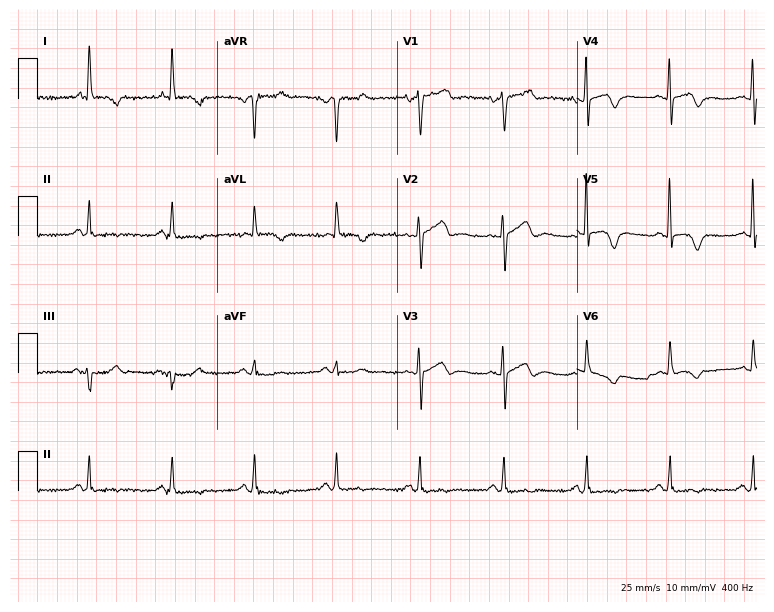
ECG (7.3-second recording at 400 Hz) — a female patient, 81 years old. Screened for six findings — first-degree AV block, right bundle branch block, left bundle branch block, sinus bradycardia, atrial fibrillation, sinus tachycardia — none is recorded.